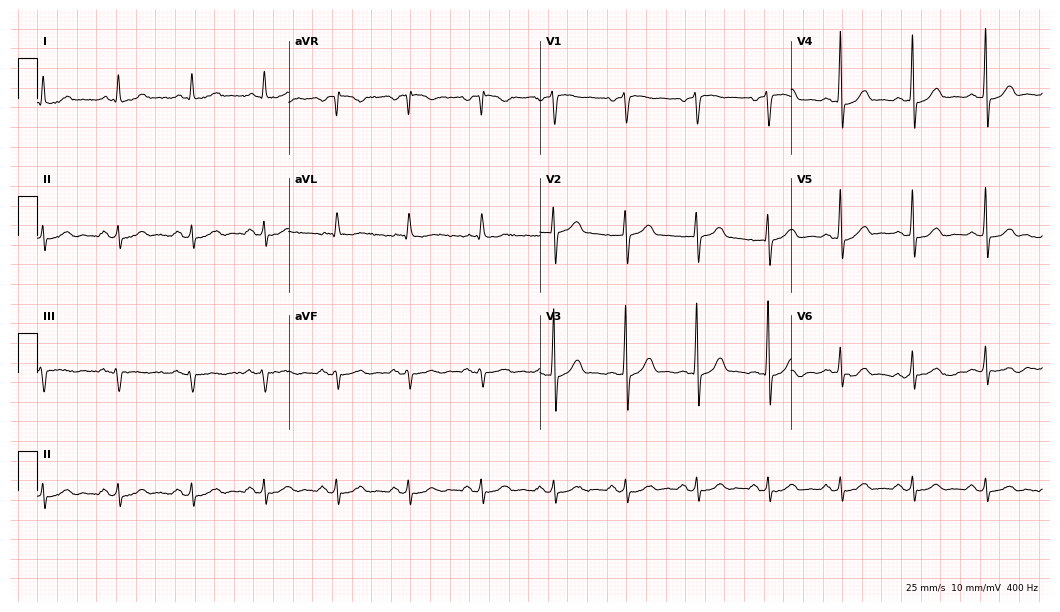
ECG (10.2-second recording at 400 Hz) — a 77-year-old male. Labelled as a normal ECG.